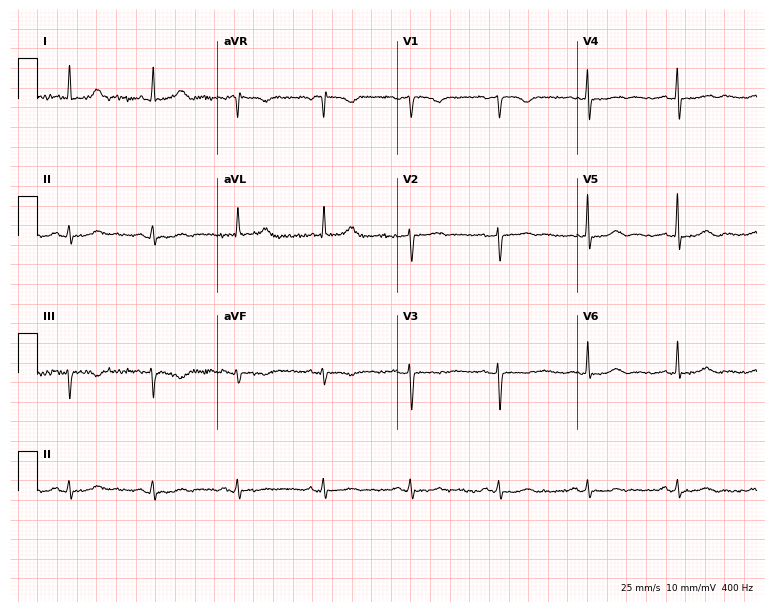
Electrocardiogram (7.3-second recording at 400 Hz), a female patient, 85 years old. Of the six screened findings (first-degree AV block, right bundle branch block, left bundle branch block, sinus bradycardia, atrial fibrillation, sinus tachycardia), none is recorded. Findings outside these six are not listed.